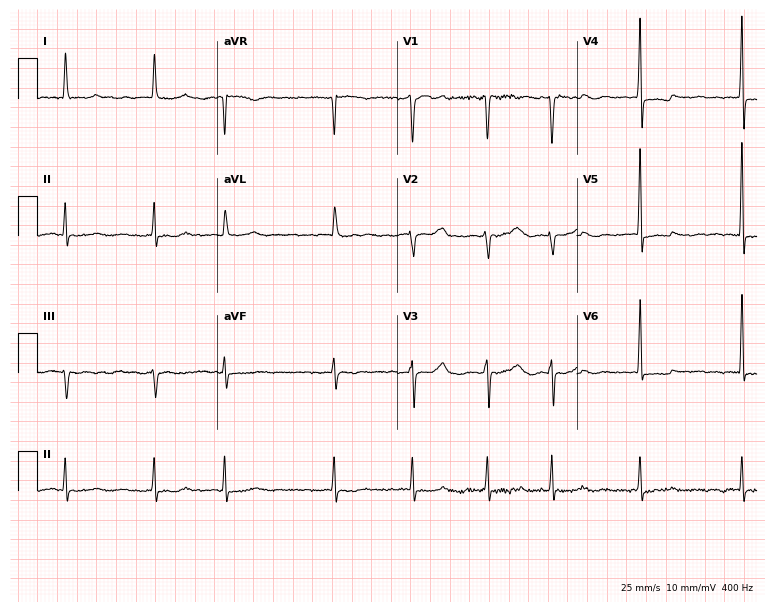
Electrocardiogram (7.3-second recording at 400 Hz), a female, 72 years old. Interpretation includes atrial fibrillation.